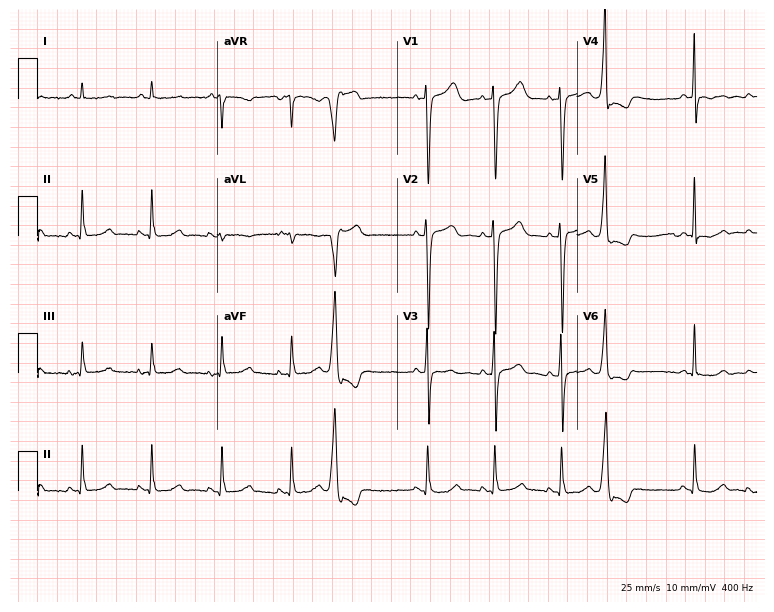
ECG (7.3-second recording at 400 Hz) — a man, 76 years old. Screened for six findings — first-degree AV block, right bundle branch block, left bundle branch block, sinus bradycardia, atrial fibrillation, sinus tachycardia — none is recorded.